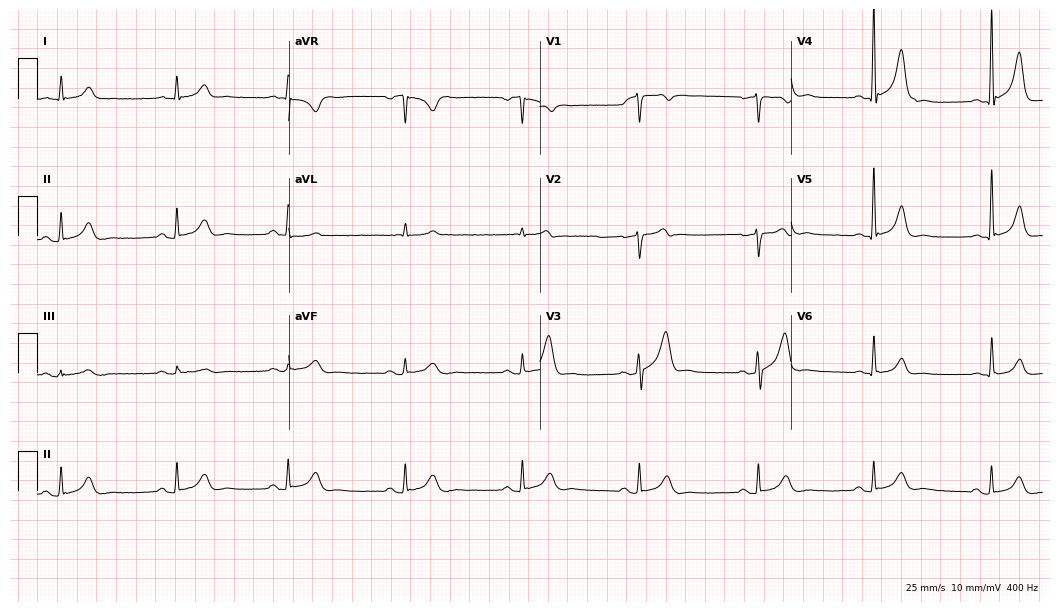
Standard 12-lead ECG recorded from a 57-year-old male patient. Read as a normal ECG.